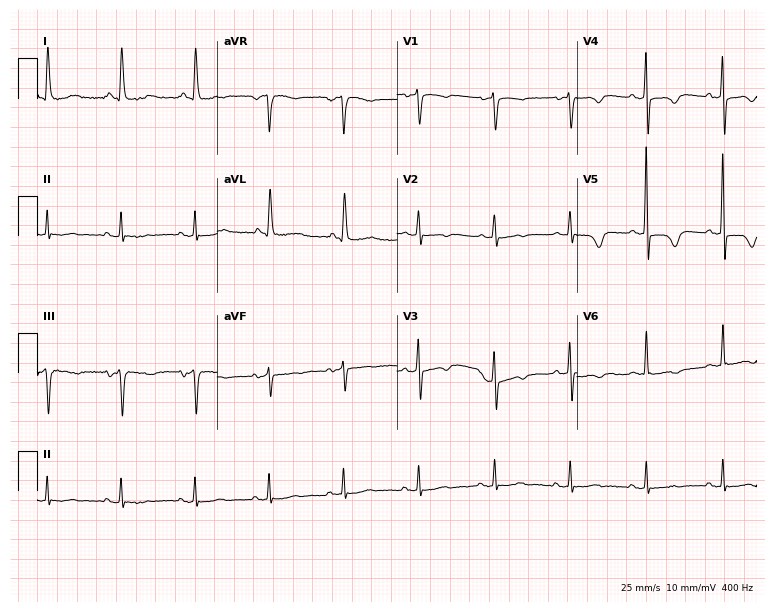
ECG (7.3-second recording at 400 Hz) — a 76-year-old woman. Screened for six findings — first-degree AV block, right bundle branch block, left bundle branch block, sinus bradycardia, atrial fibrillation, sinus tachycardia — none is recorded. Only these six findings were labelled.